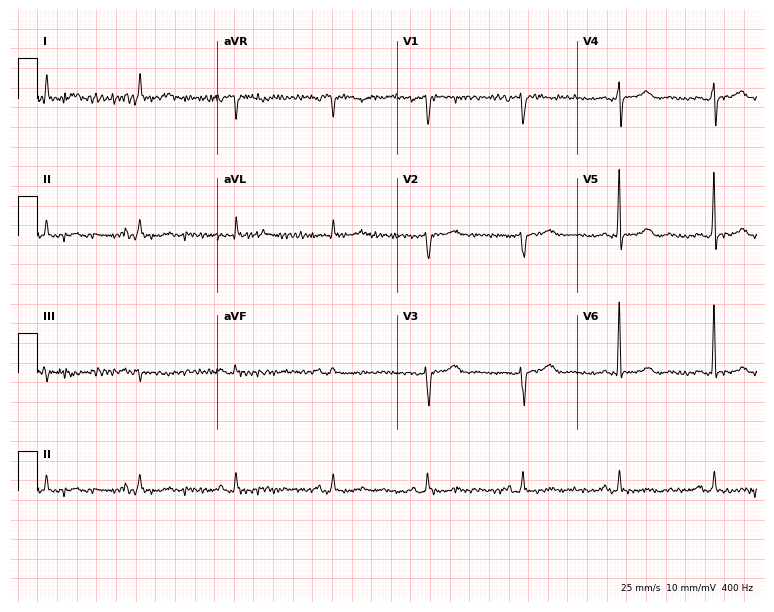
Electrocardiogram (7.3-second recording at 400 Hz), a female patient, 66 years old. Overall reading on record: normal ECG.